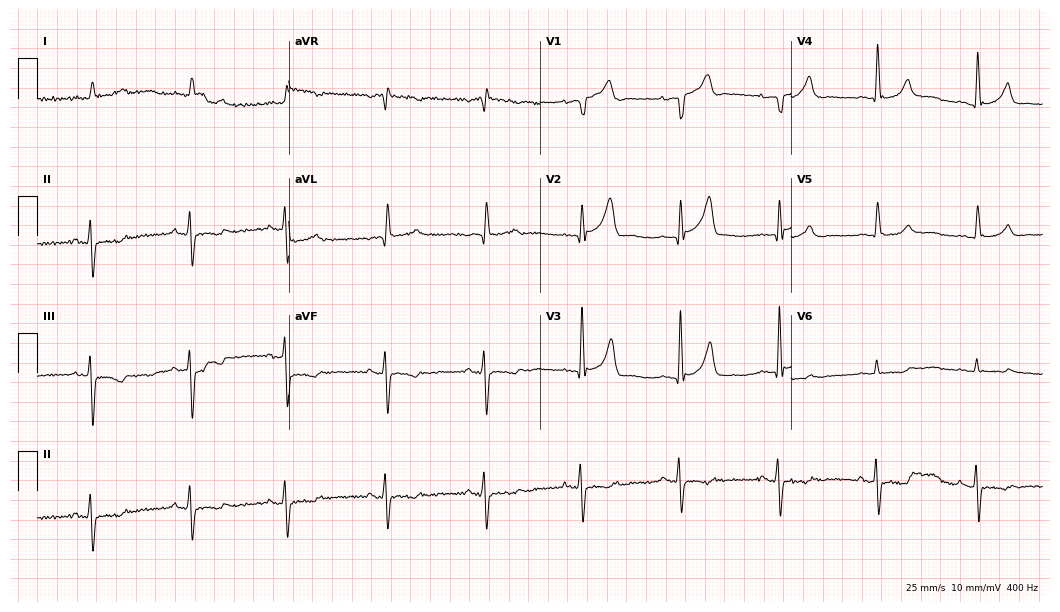
Standard 12-lead ECG recorded from an 81-year-old male (10.2-second recording at 400 Hz). None of these six findings is recorded: first-degree AV block, right bundle branch block, left bundle branch block, sinus bradycardia, atrial fibrillation, sinus tachycardia.